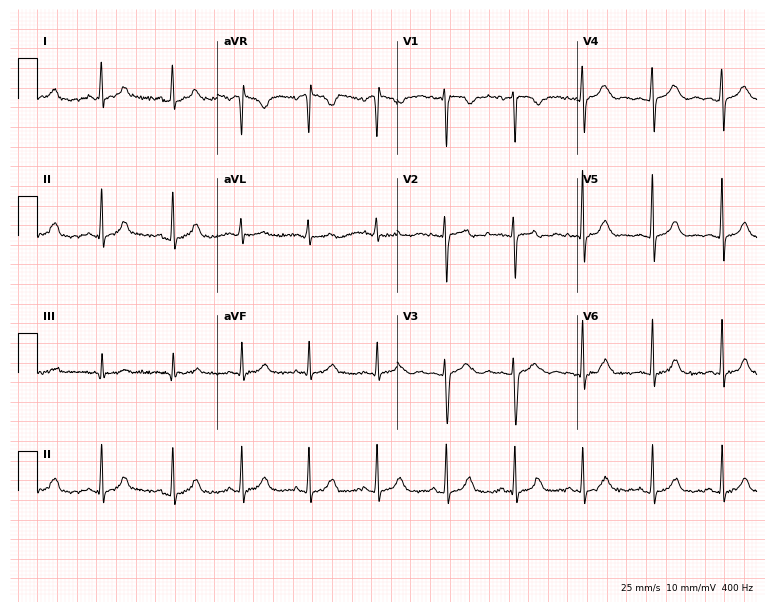
ECG (7.3-second recording at 400 Hz) — a female patient, 25 years old. Labelled as a normal ECG.